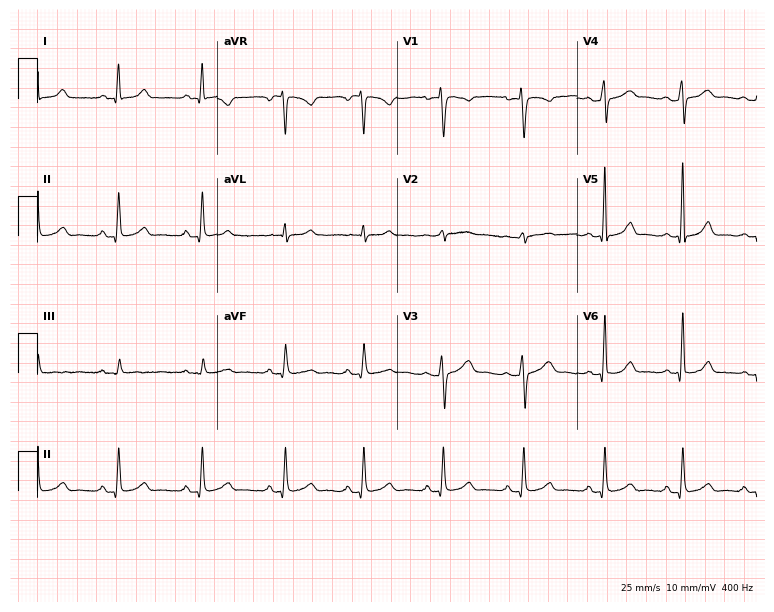
12-lead ECG from a woman, 36 years old (7.3-second recording at 400 Hz). Recorded interpretation: within normal limits.